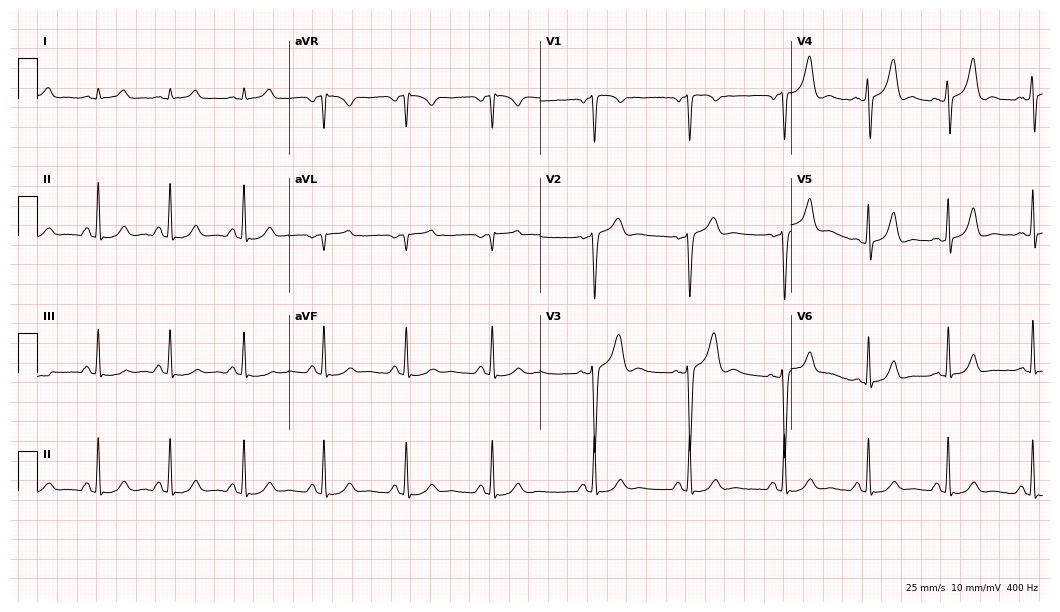
Resting 12-lead electrocardiogram. Patient: a 31-year-old male. Read as a normal ECG.